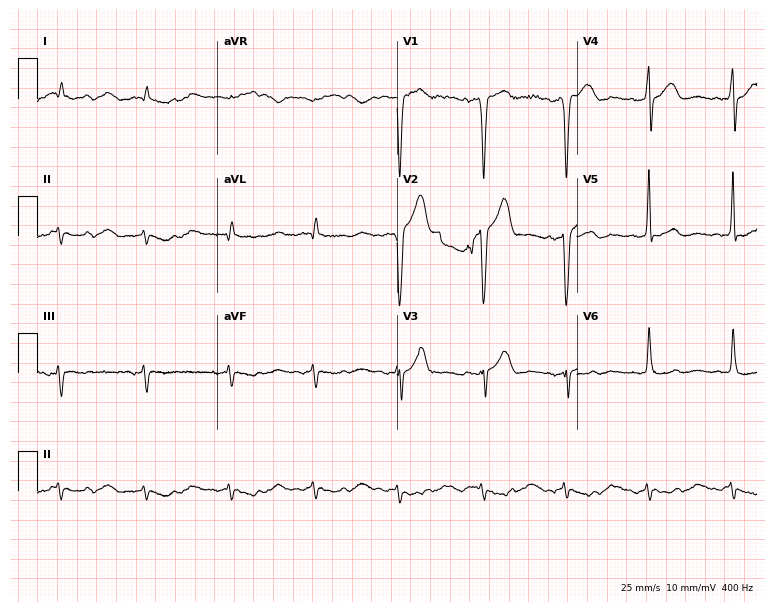
Resting 12-lead electrocardiogram. Patient: a 47-year-old man. None of these six findings is recorded: first-degree AV block, right bundle branch block, left bundle branch block, sinus bradycardia, atrial fibrillation, sinus tachycardia. Findings outside these six are not listed.